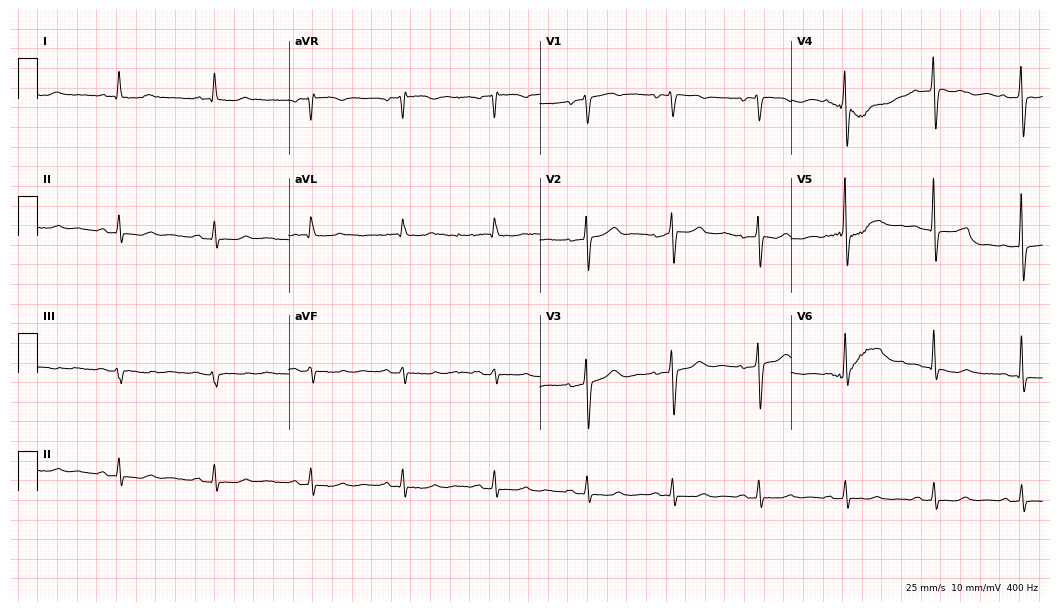
Electrocardiogram (10.2-second recording at 400 Hz), a 62-year-old female. Of the six screened findings (first-degree AV block, right bundle branch block (RBBB), left bundle branch block (LBBB), sinus bradycardia, atrial fibrillation (AF), sinus tachycardia), none is recorded.